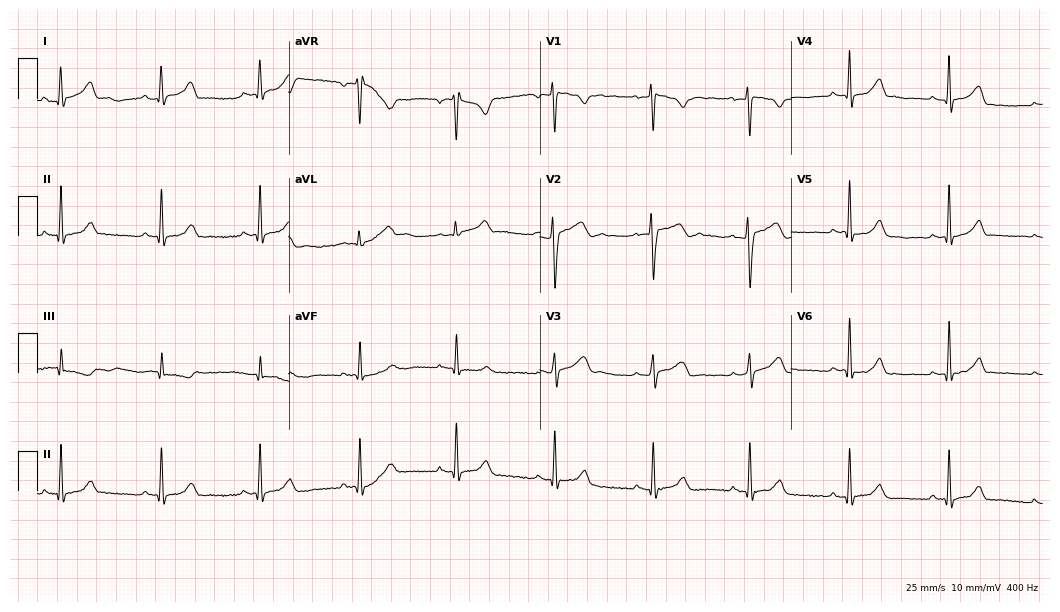
Resting 12-lead electrocardiogram (10.2-second recording at 400 Hz). Patient: a woman, 32 years old. Read as a normal ECG.